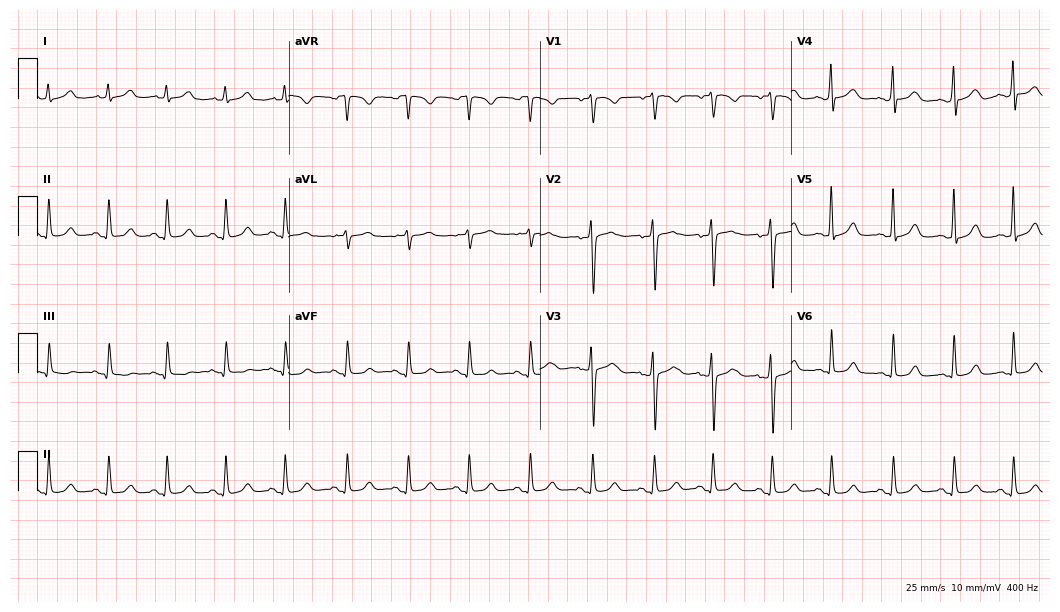
Resting 12-lead electrocardiogram. Patient: a 45-year-old female. Read as a normal ECG.